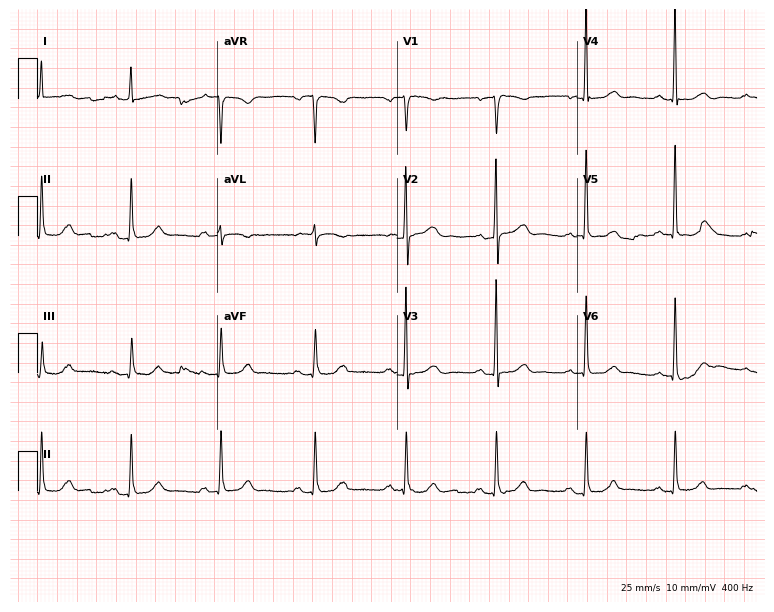
Resting 12-lead electrocardiogram (7.3-second recording at 400 Hz). Patient: a female, 85 years old. Read as a normal ECG.